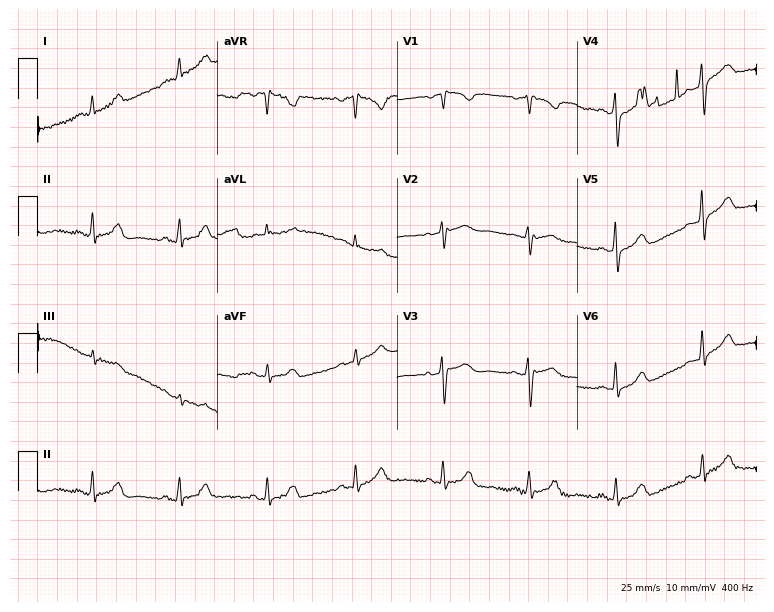
ECG — a 48-year-old female patient. Screened for six findings — first-degree AV block, right bundle branch block (RBBB), left bundle branch block (LBBB), sinus bradycardia, atrial fibrillation (AF), sinus tachycardia — none is recorded. Other findings, if any, are not listed.